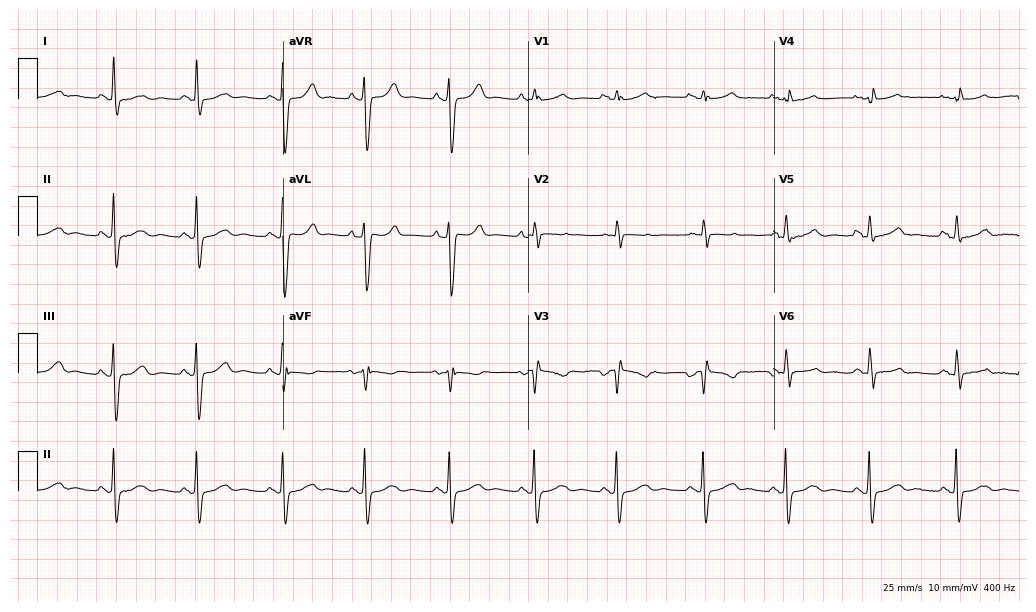
12-lead ECG from a woman, 64 years old. Screened for six findings — first-degree AV block, right bundle branch block (RBBB), left bundle branch block (LBBB), sinus bradycardia, atrial fibrillation (AF), sinus tachycardia — none is recorded. Findings outside these six are not listed.